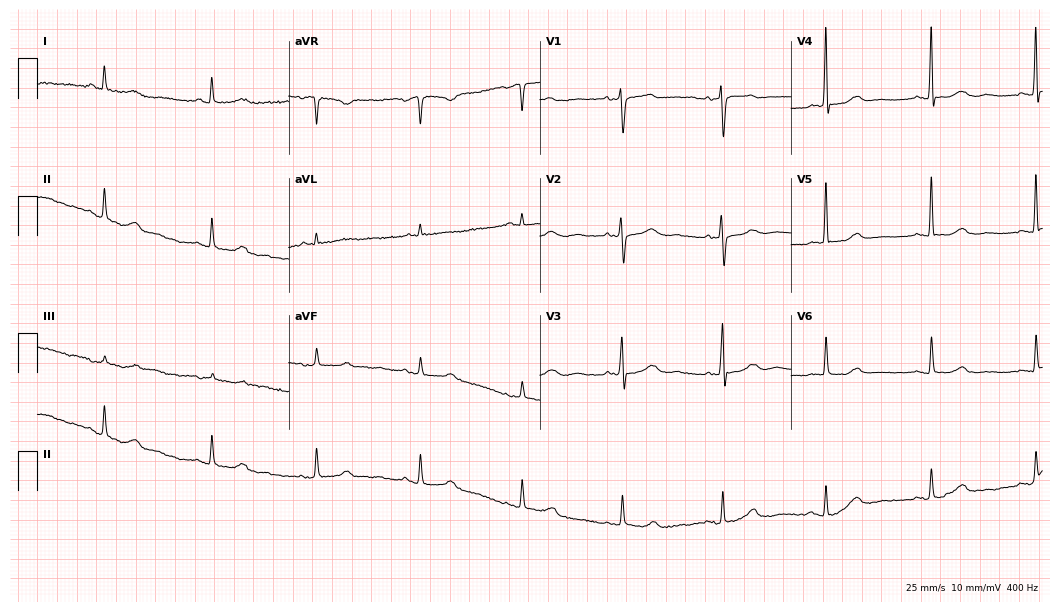
12-lead ECG (10.2-second recording at 400 Hz) from a female patient, 60 years old. Screened for six findings — first-degree AV block, right bundle branch block (RBBB), left bundle branch block (LBBB), sinus bradycardia, atrial fibrillation (AF), sinus tachycardia — none is recorded. Other findings, if any, are not listed.